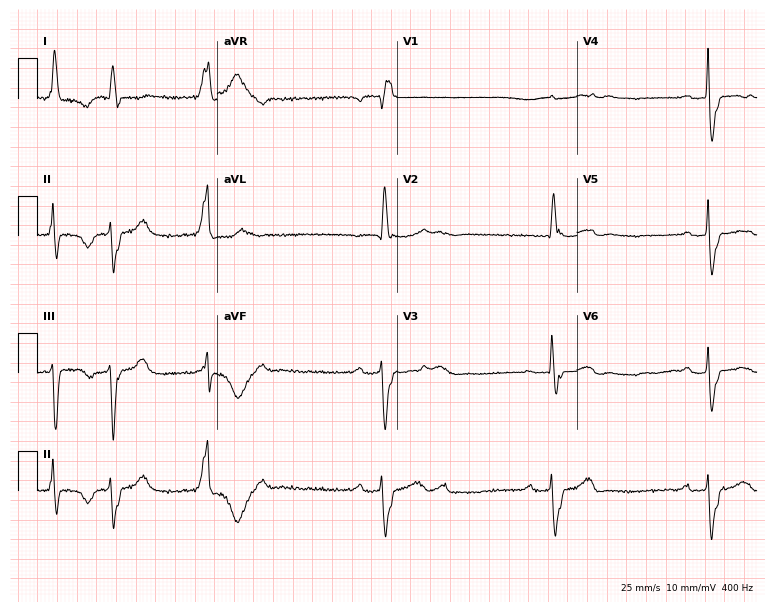
Standard 12-lead ECG recorded from an 86-year-old woman. None of these six findings is recorded: first-degree AV block, right bundle branch block (RBBB), left bundle branch block (LBBB), sinus bradycardia, atrial fibrillation (AF), sinus tachycardia.